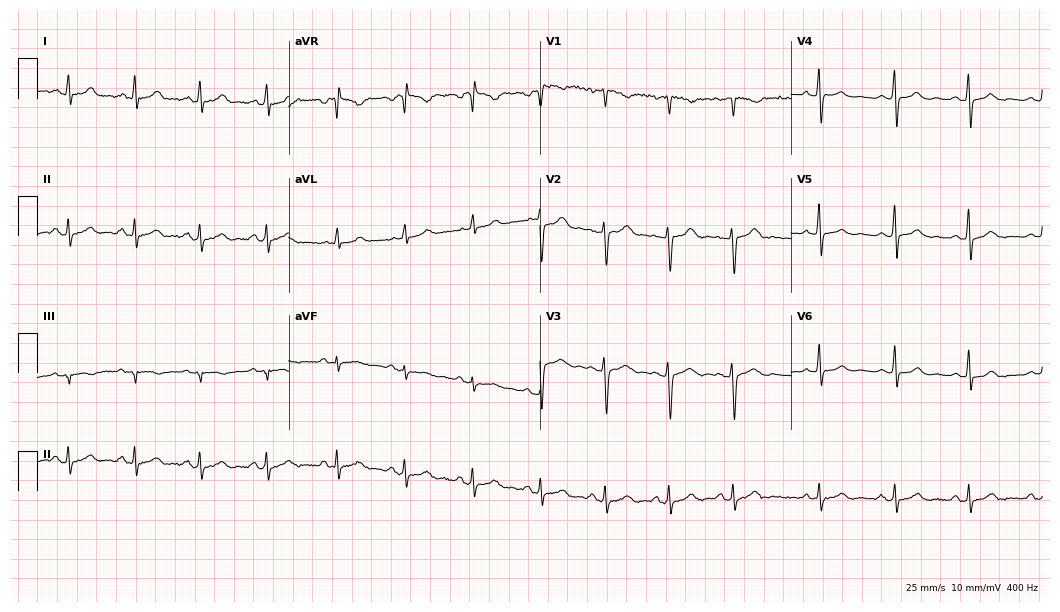
Resting 12-lead electrocardiogram (10.2-second recording at 400 Hz). Patient: a 26-year-old male. Read as a normal ECG.